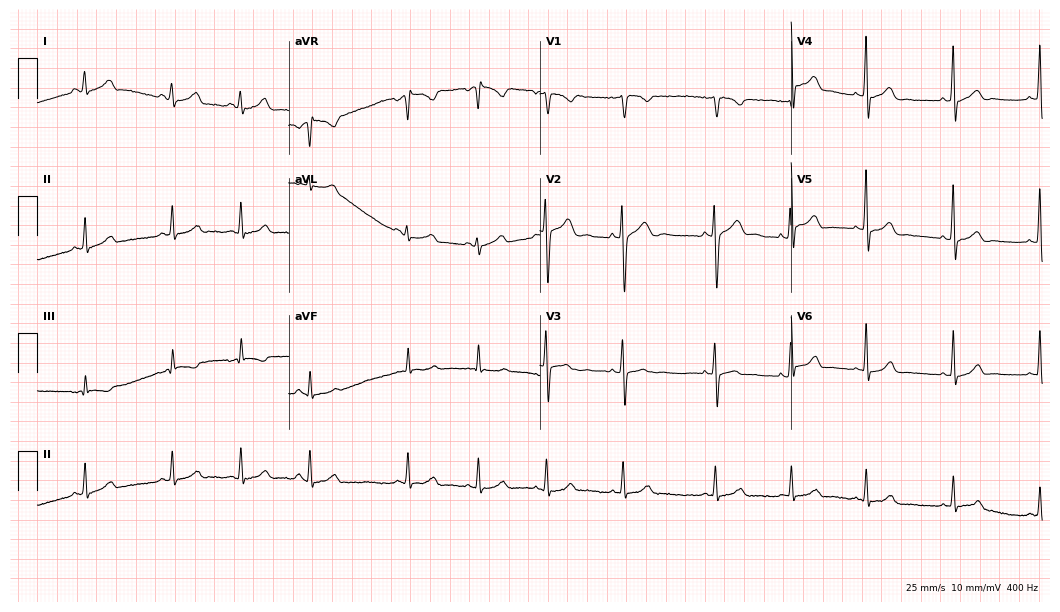
12-lead ECG from a female, 19 years old (10.2-second recording at 400 Hz). Recorded interpretation: within normal limits.